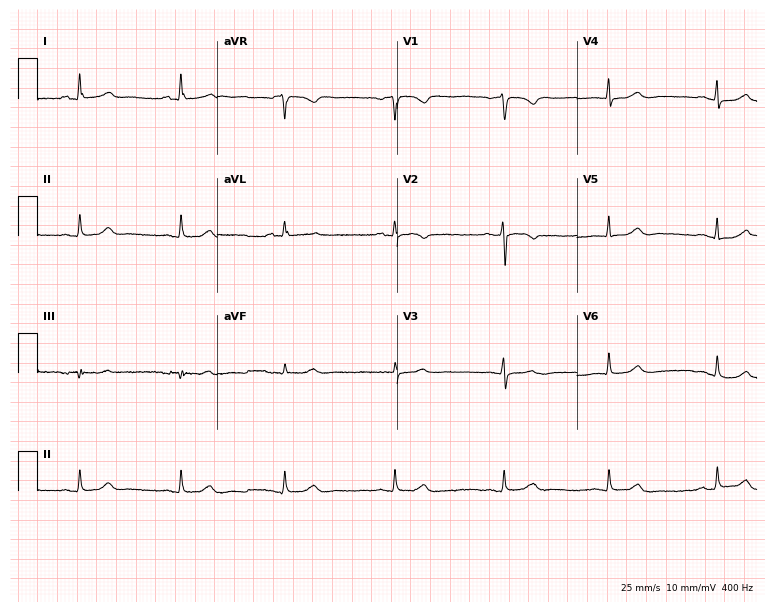
Standard 12-lead ECG recorded from a female, 59 years old. Read as a normal ECG.